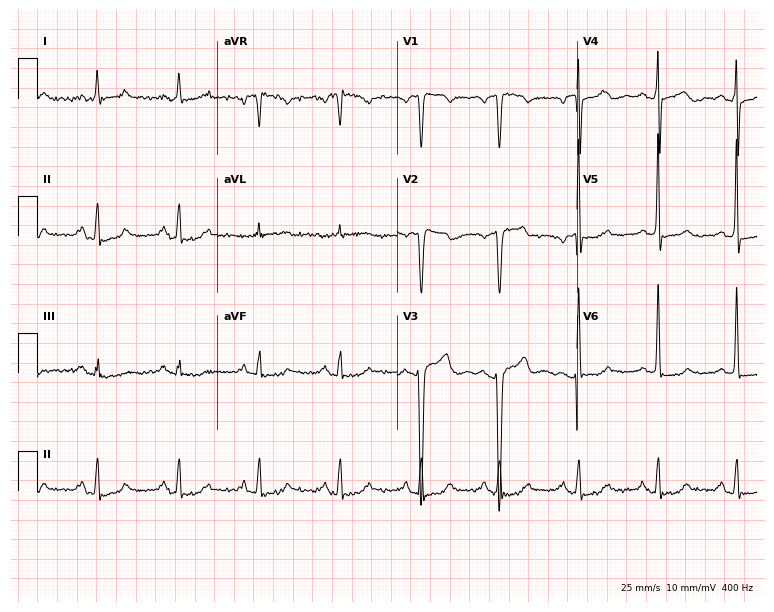
12-lead ECG from a 49-year-old female (7.3-second recording at 400 Hz). No first-degree AV block, right bundle branch block (RBBB), left bundle branch block (LBBB), sinus bradycardia, atrial fibrillation (AF) or sinus tachycardia recorded for this tracing. Only these six findings were labelled.